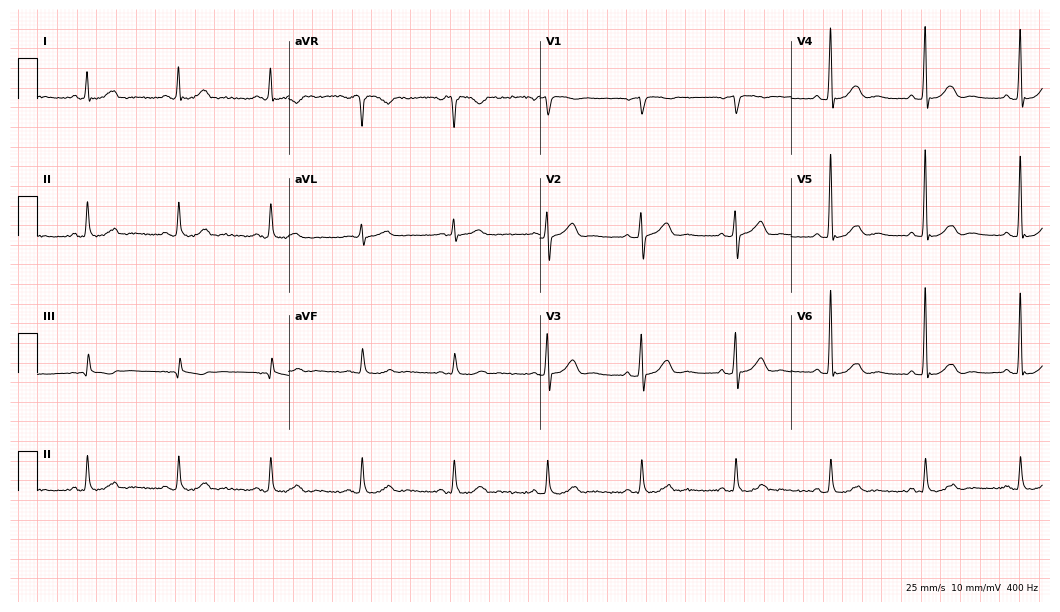
12-lead ECG (10.2-second recording at 400 Hz) from an 80-year-old male. Labelled as a normal ECG.